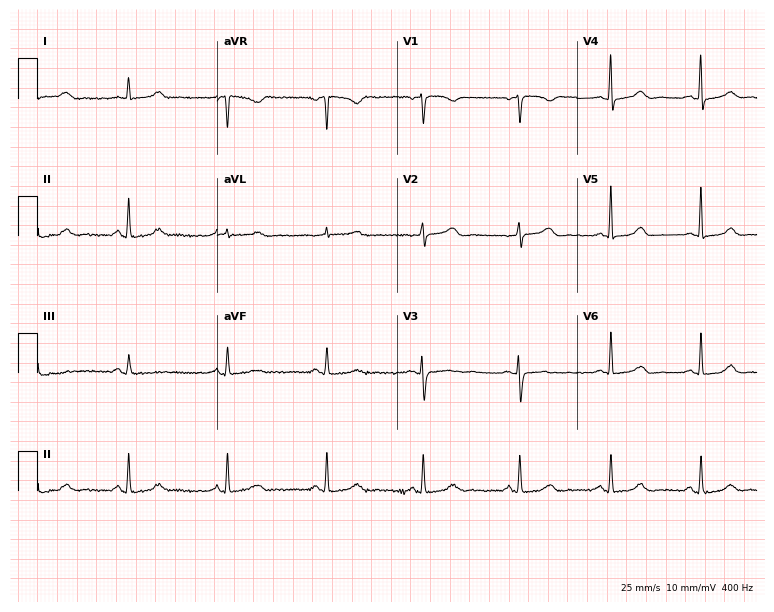
ECG (7.3-second recording at 400 Hz) — a woman, 63 years old. Labelled as a normal ECG.